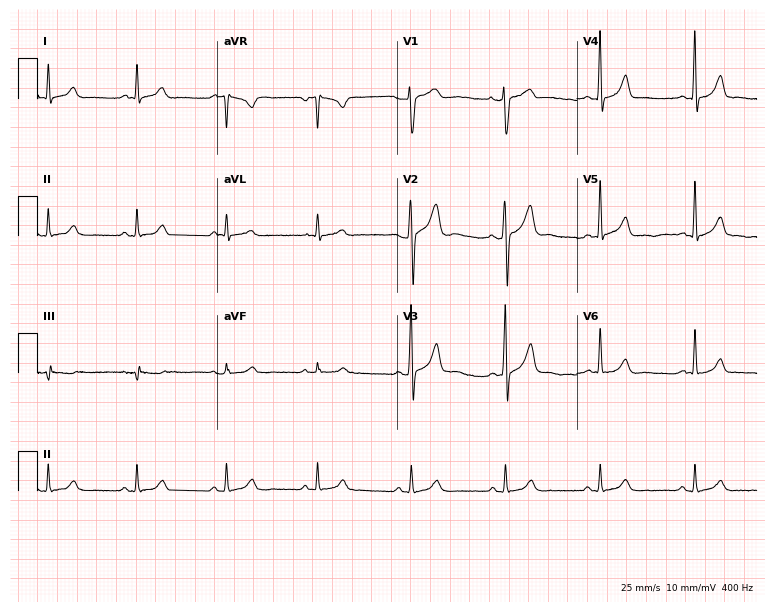
Electrocardiogram, a 40-year-old male. Overall reading on record: normal ECG.